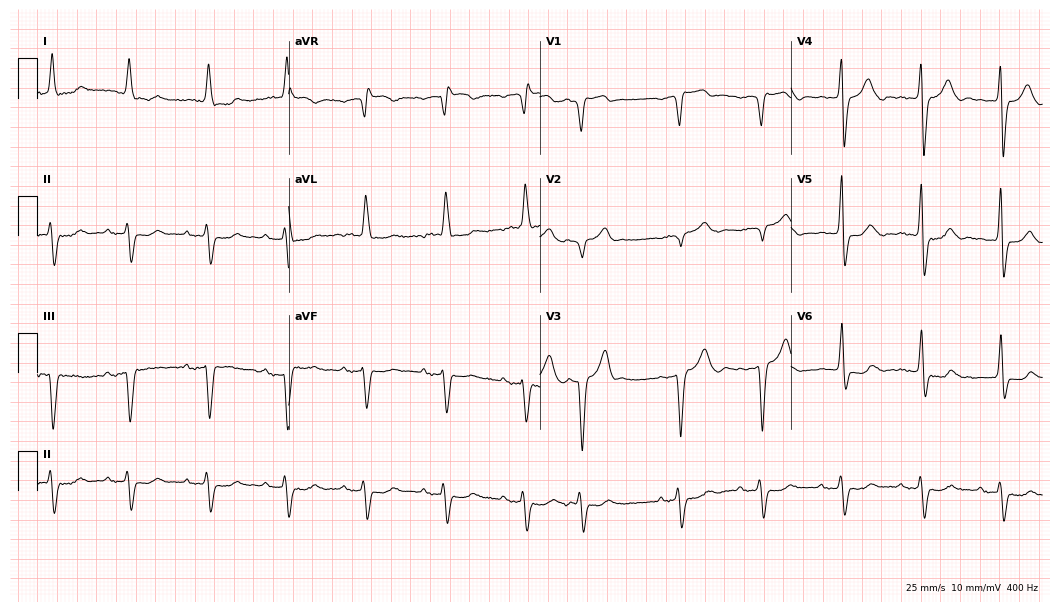
12-lead ECG from an 84-year-old male patient (10.2-second recording at 400 Hz). No first-degree AV block, right bundle branch block, left bundle branch block, sinus bradycardia, atrial fibrillation or sinus tachycardia recorded for this tracing.